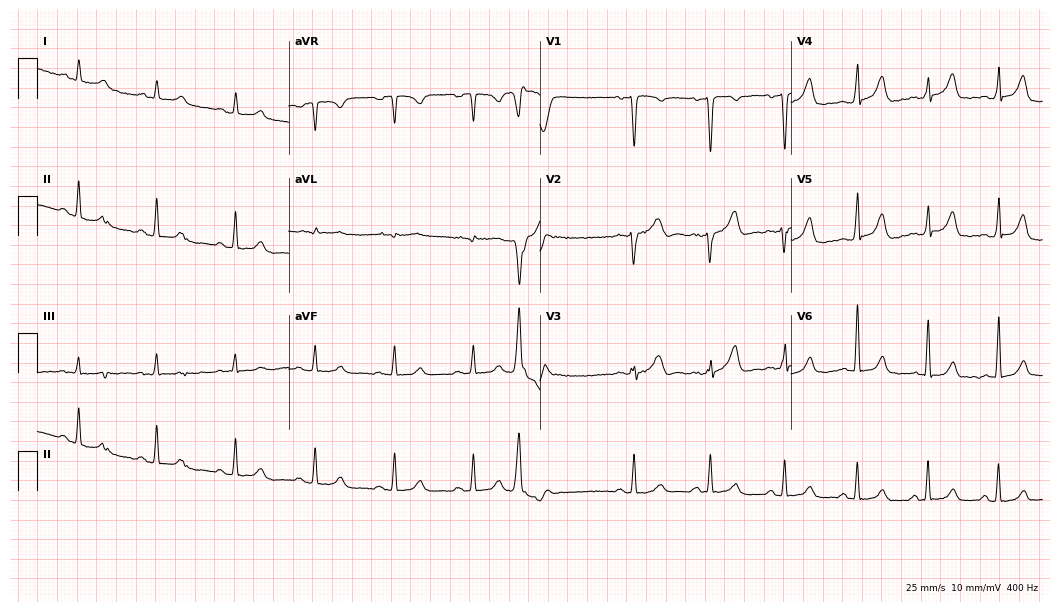
Standard 12-lead ECG recorded from a man, 46 years old (10.2-second recording at 400 Hz). None of these six findings is recorded: first-degree AV block, right bundle branch block, left bundle branch block, sinus bradycardia, atrial fibrillation, sinus tachycardia.